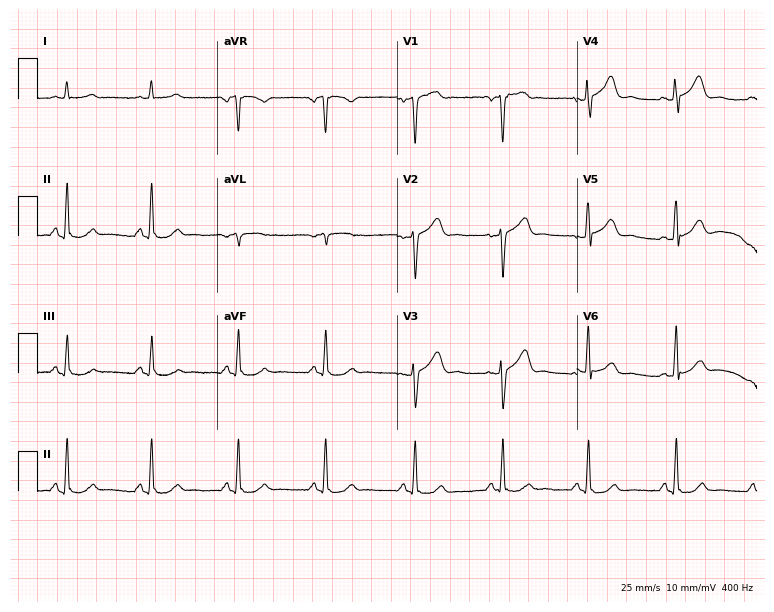
Resting 12-lead electrocardiogram. Patient: a 58-year-old man. None of these six findings is recorded: first-degree AV block, right bundle branch block, left bundle branch block, sinus bradycardia, atrial fibrillation, sinus tachycardia. Only these six findings were labelled.